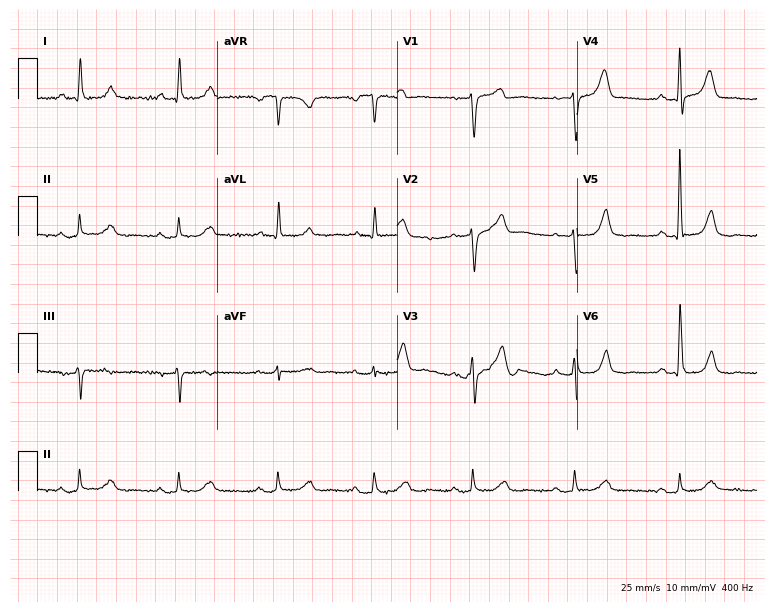
Electrocardiogram (7.3-second recording at 400 Hz), an 81-year-old male. Of the six screened findings (first-degree AV block, right bundle branch block, left bundle branch block, sinus bradycardia, atrial fibrillation, sinus tachycardia), none is recorded.